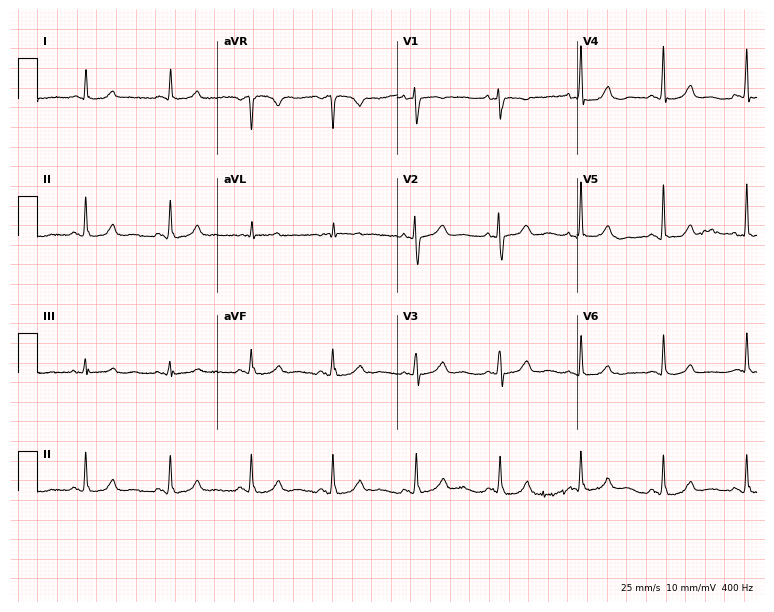
12-lead ECG from a female patient, 78 years old (7.3-second recording at 400 Hz). No first-degree AV block, right bundle branch block, left bundle branch block, sinus bradycardia, atrial fibrillation or sinus tachycardia recorded for this tracing. Only these six findings were labelled.